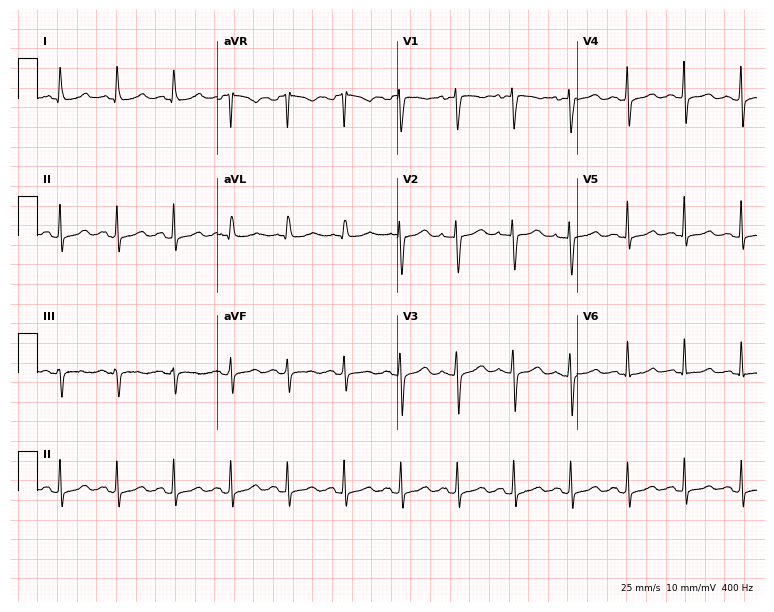
Standard 12-lead ECG recorded from a 47-year-old female patient (7.3-second recording at 400 Hz). The tracing shows sinus tachycardia (a sinus rate of 100 beats per minute or more).